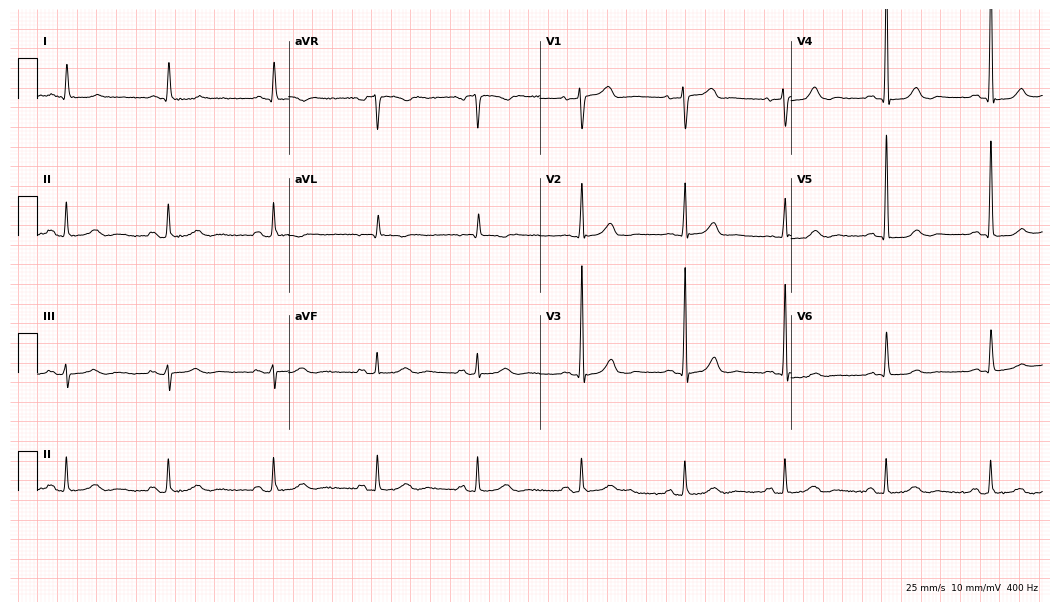
Resting 12-lead electrocardiogram. Patient: an 83-year-old female. None of these six findings is recorded: first-degree AV block, right bundle branch block, left bundle branch block, sinus bradycardia, atrial fibrillation, sinus tachycardia. Findings outside these six are not listed.